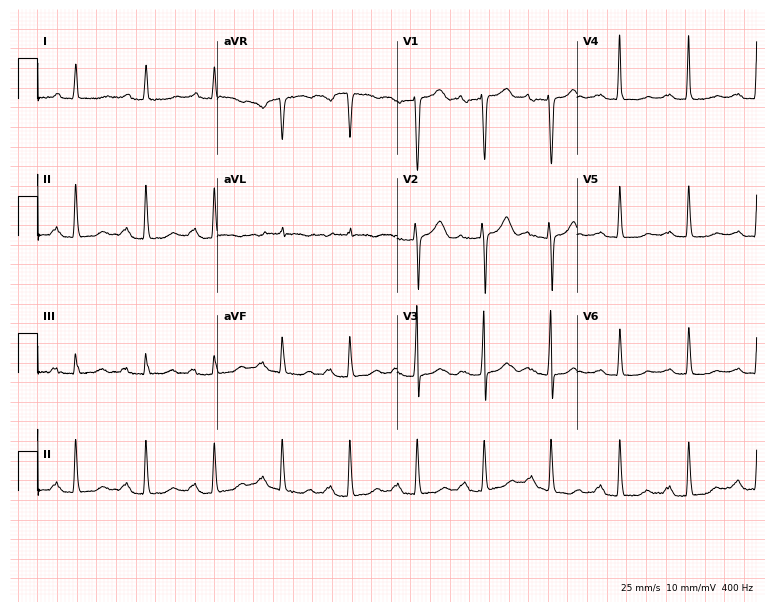
ECG (7.3-second recording at 400 Hz) — a female, 79 years old. Findings include first-degree AV block.